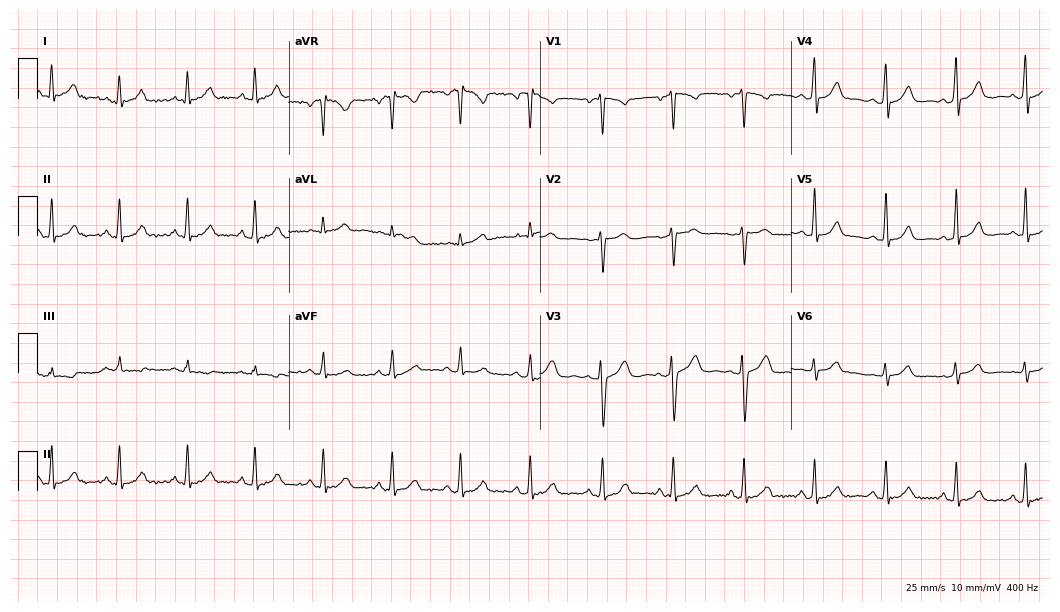
Standard 12-lead ECG recorded from a female patient, 48 years old (10.2-second recording at 400 Hz). Read as a normal ECG.